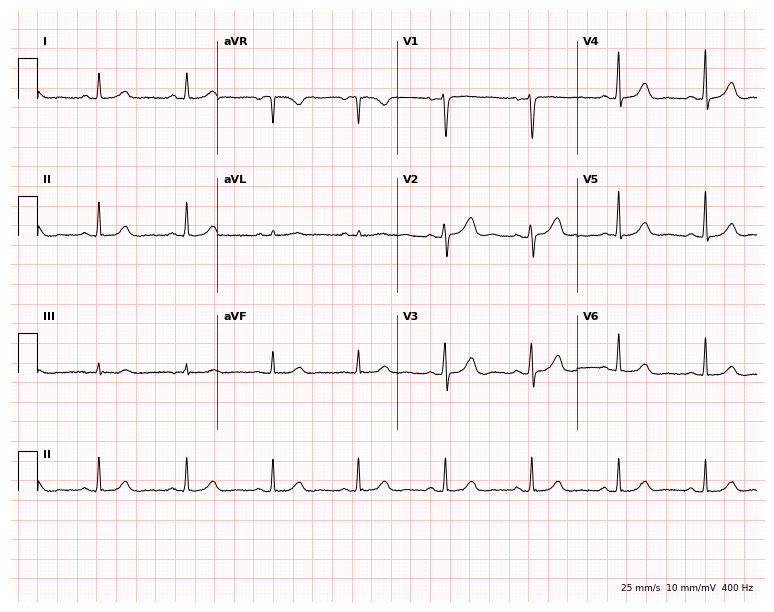
12-lead ECG from a female patient, 64 years old. Labelled as a normal ECG.